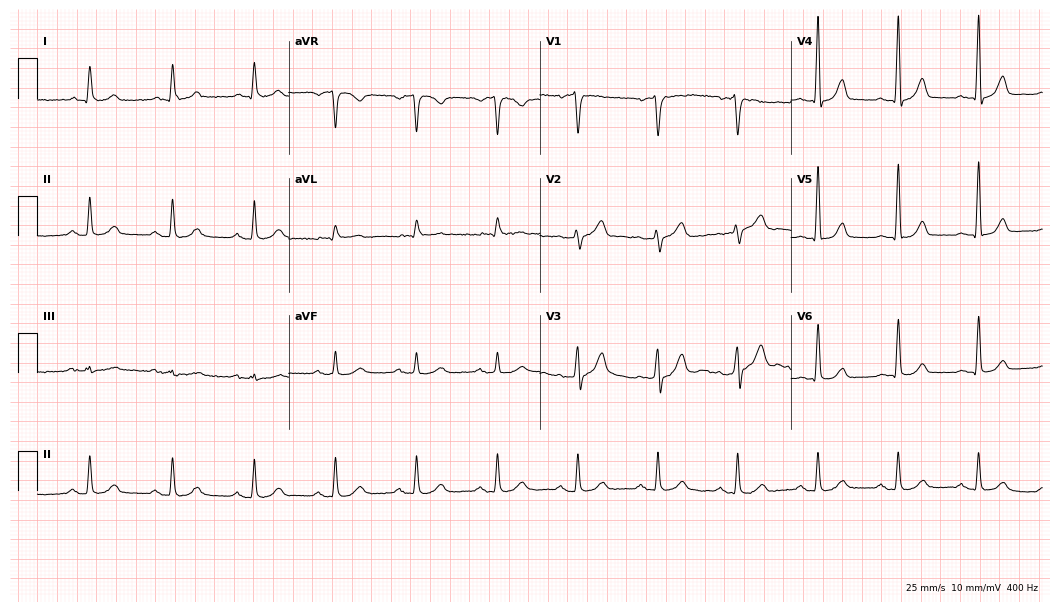
Electrocardiogram, a male, 73 years old. Overall reading on record: normal ECG.